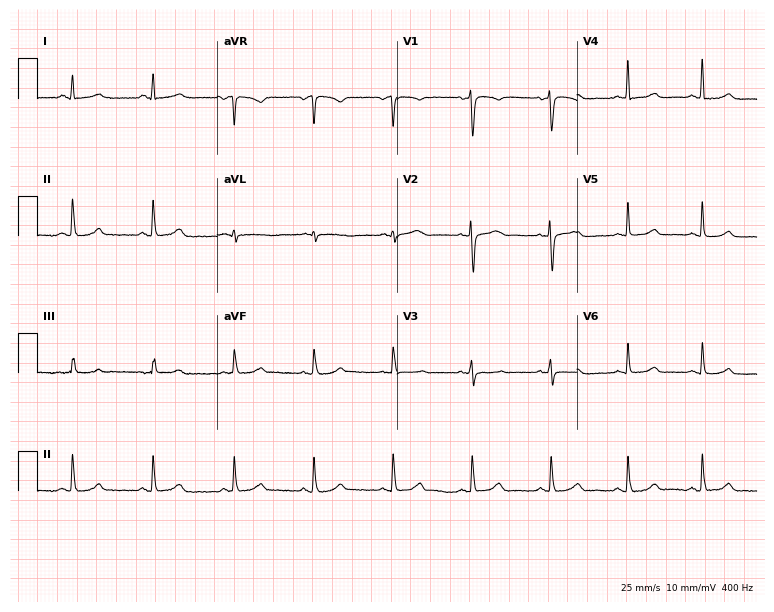
12-lead ECG (7.3-second recording at 400 Hz) from a female, 41 years old. Labelled as a normal ECG.